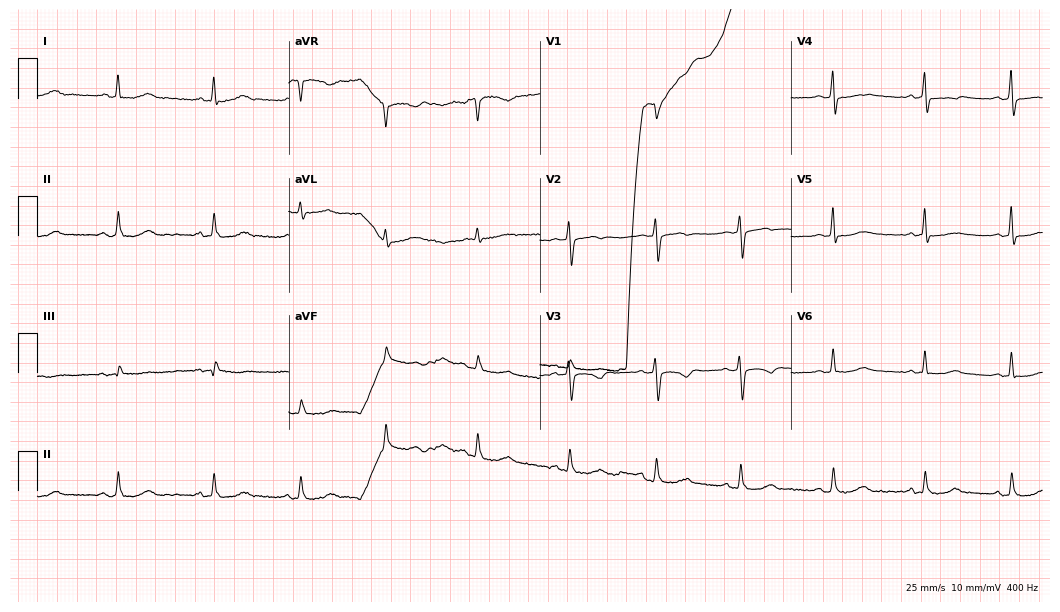
ECG — a woman, 53 years old. Screened for six findings — first-degree AV block, right bundle branch block, left bundle branch block, sinus bradycardia, atrial fibrillation, sinus tachycardia — none is recorded. Only these six findings were labelled.